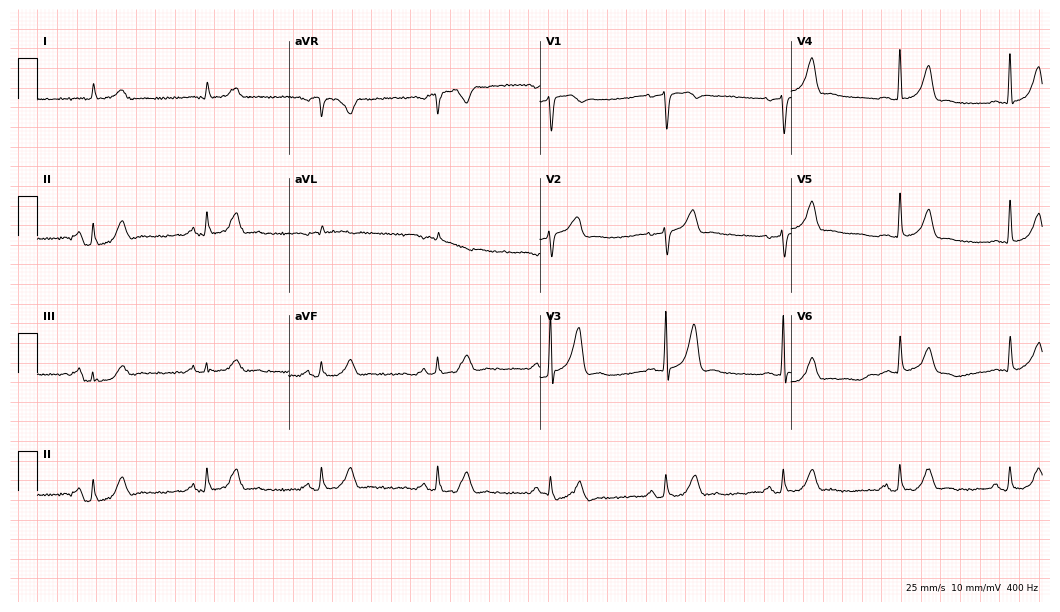
ECG (10.2-second recording at 400 Hz) — a male, 67 years old. Labelled as a normal ECG.